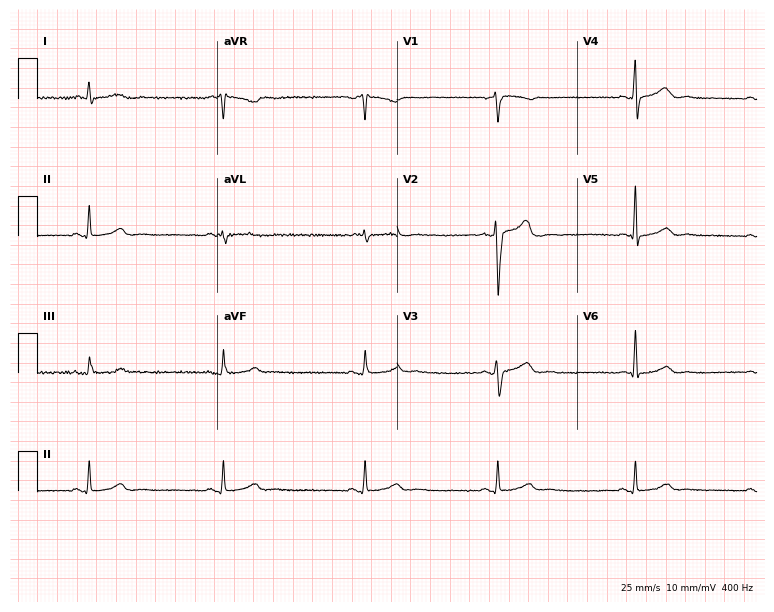
Resting 12-lead electrocardiogram. Patient: a male, 32 years old. The tracing shows sinus bradycardia (a sinus rate of 50 beats per minute or less).